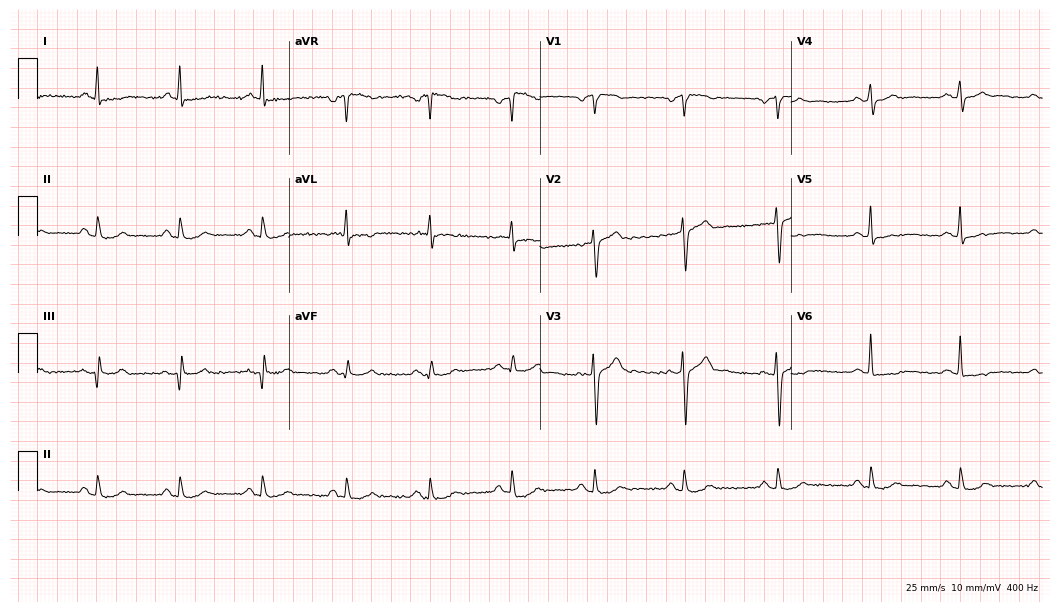
12-lead ECG from a male, 48 years old (10.2-second recording at 400 Hz). Recorded interpretation: within normal limits.